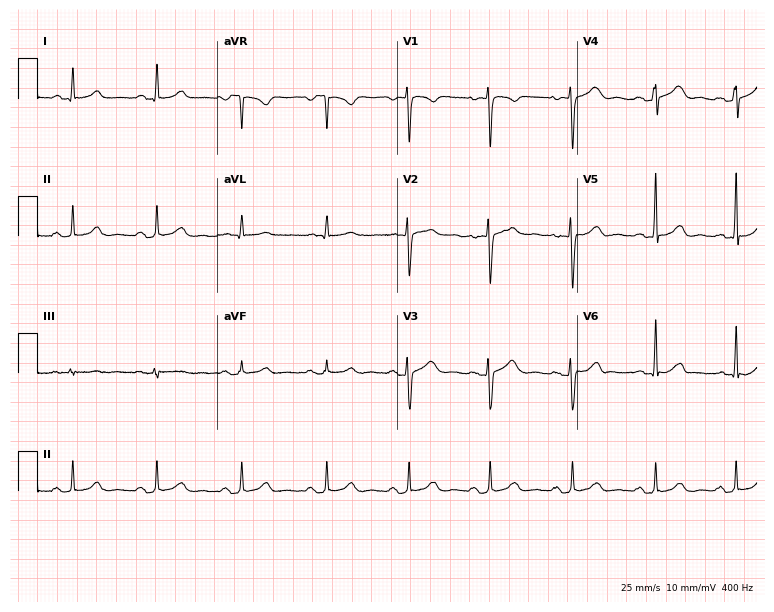
Standard 12-lead ECG recorded from a female, 36 years old (7.3-second recording at 400 Hz). Read as a normal ECG.